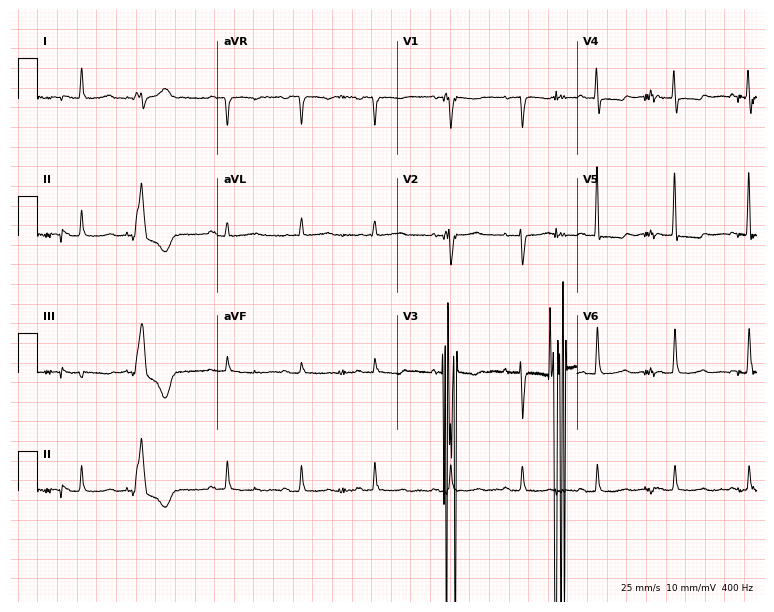
Standard 12-lead ECG recorded from a 72-year-old female patient. None of these six findings is recorded: first-degree AV block, right bundle branch block (RBBB), left bundle branch block (LBBB), sinus bradycardia, atrial fibrillation (AF), sinus tachycardia.